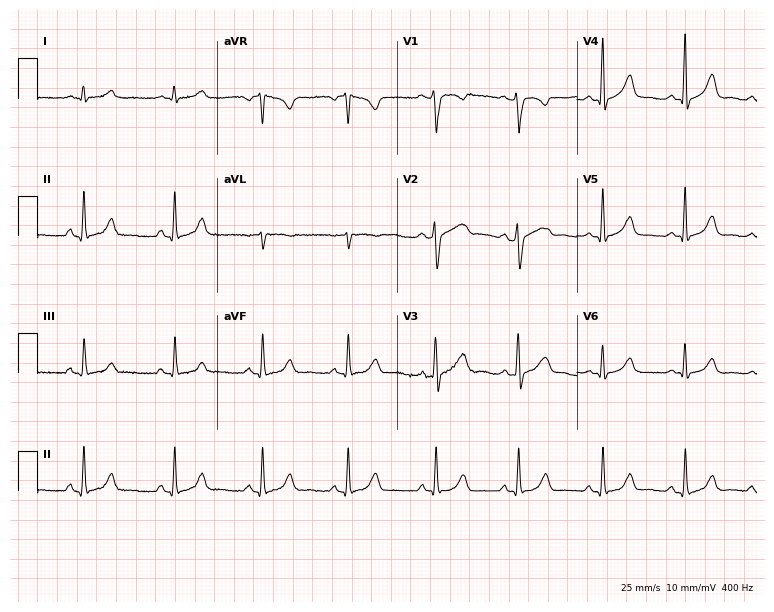
12-lead ECG from a man, 36 years old. Labelled as a normal ECG.